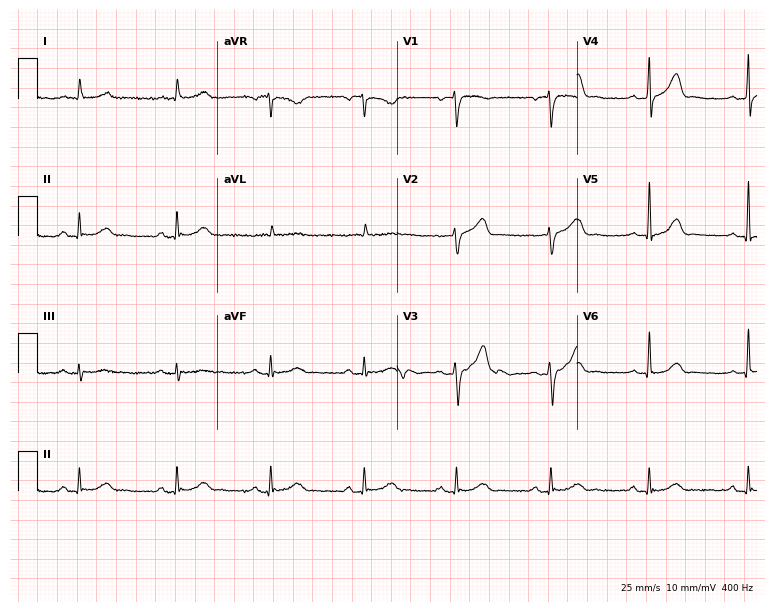
Standard 12-lead ECG recorded from a male, 81 years old. Read as a normal ECG.